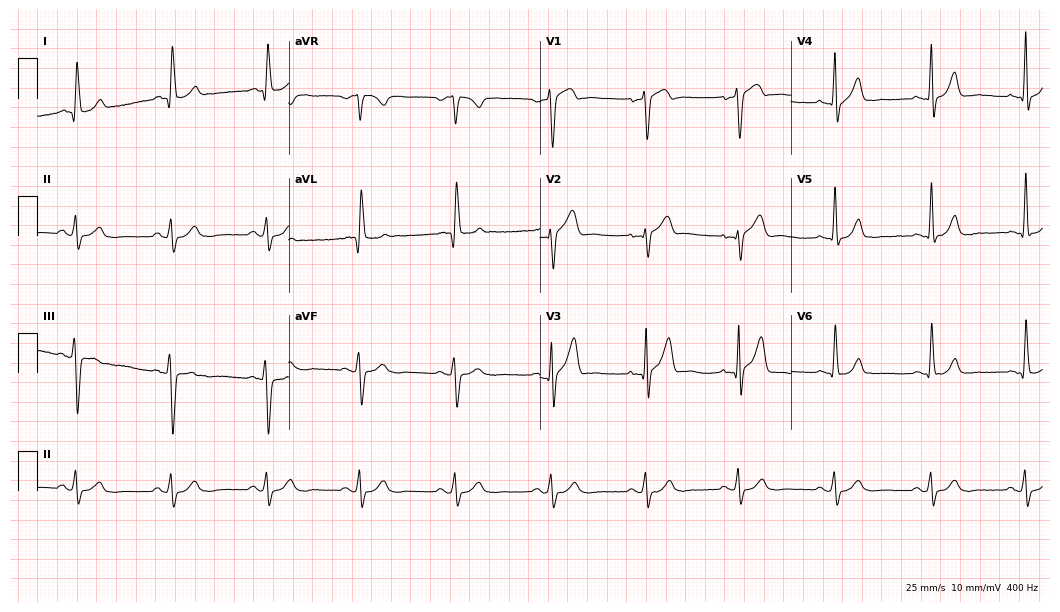
12-lead ECG (10.2-second recording at 400 Hz) from a male patient, 57 years old. Screened for six findings — first-degree AV block, right bundle branch block, left bundle branch block, sinus bradycardia, atrial fibrillation, sinus tachycardia — none is recorded.